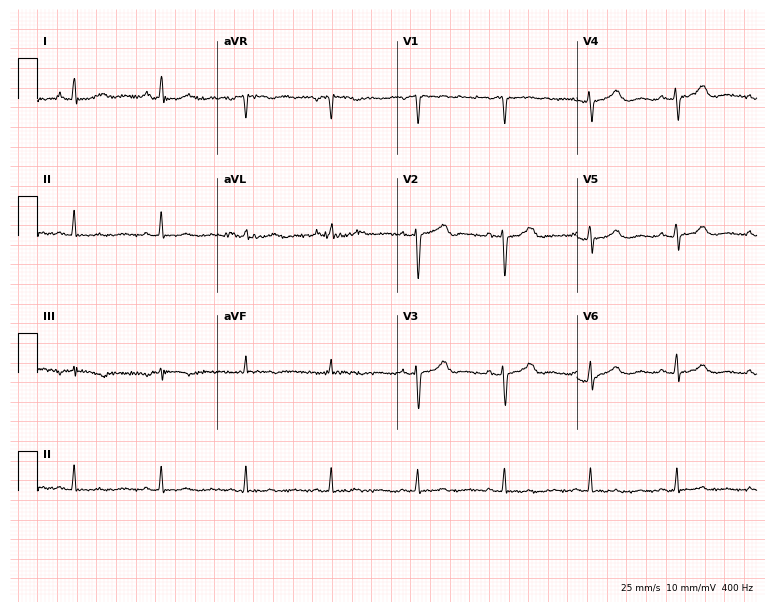
12-lead ECG from a woman, 40 years old. Screened for six findings — first-degree AV block, right bundle branch block (RBBB), left bundle branch block (LBBB), sinus bradycardia, atrial fibrillation (AF), sinus tachycardia — none is recorded.